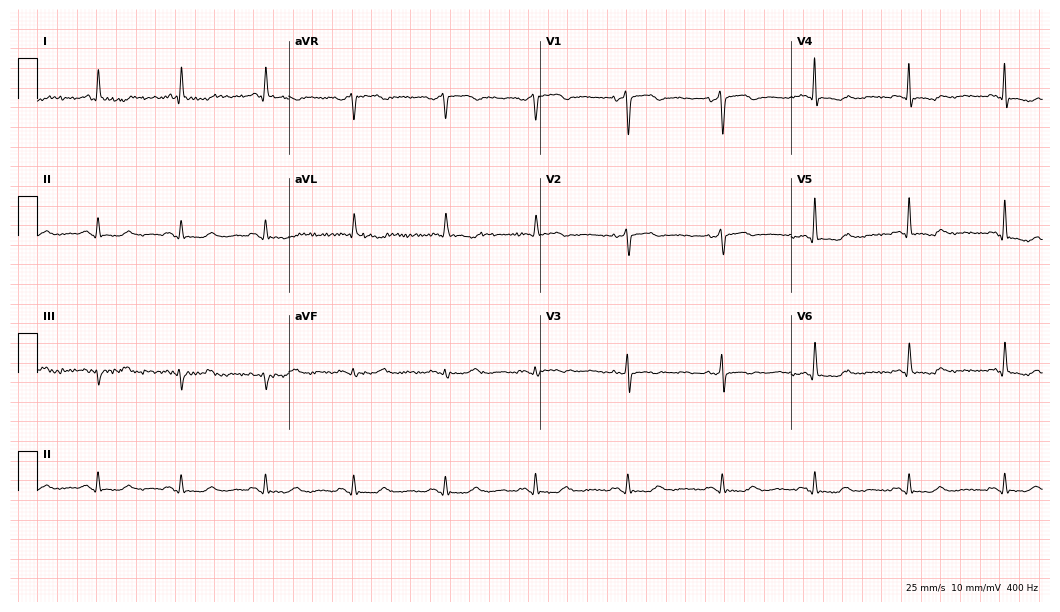
Electrocardiogram (10.2-second recording at 400 Hz), a 62-year-old female patient. Overall reading on record: normal ECG.